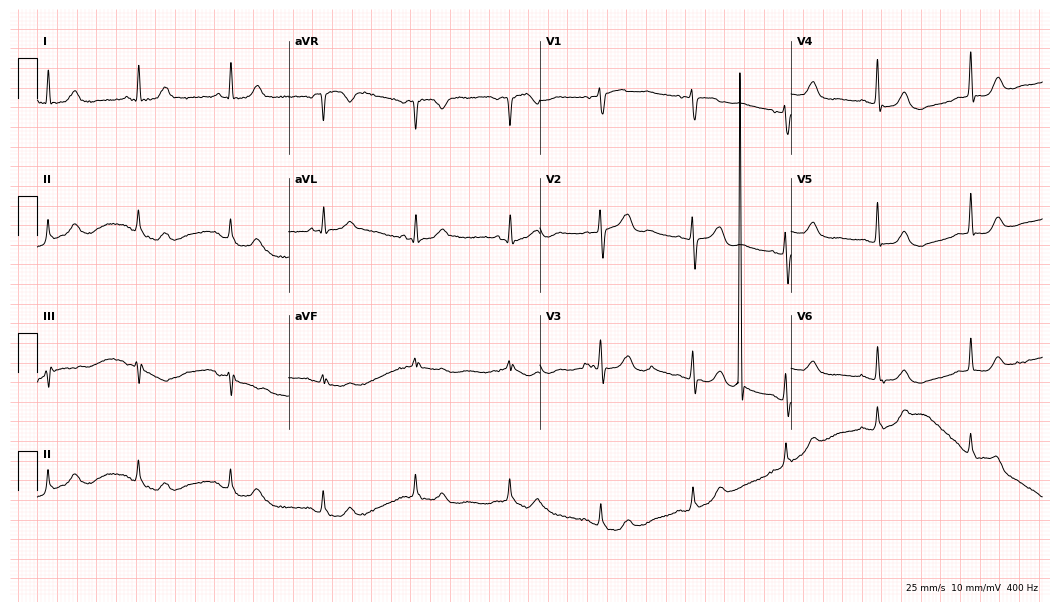
12-lead ECG from a female patient, 75 years old. Labelled as a normal ECG.